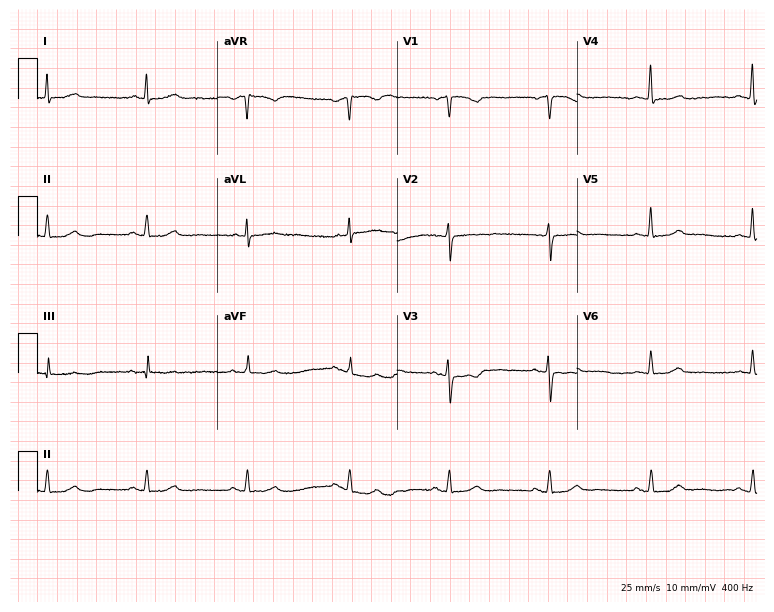
ECG (7.3-second recording at 400 Hz) — a female patient, 64 years old. Screened for six findings — first-degree AV block, right bundle branch block, left bundle branch block, sinus bradycardia, atrial fibrillation, sinus tachycardia — none is recorded.